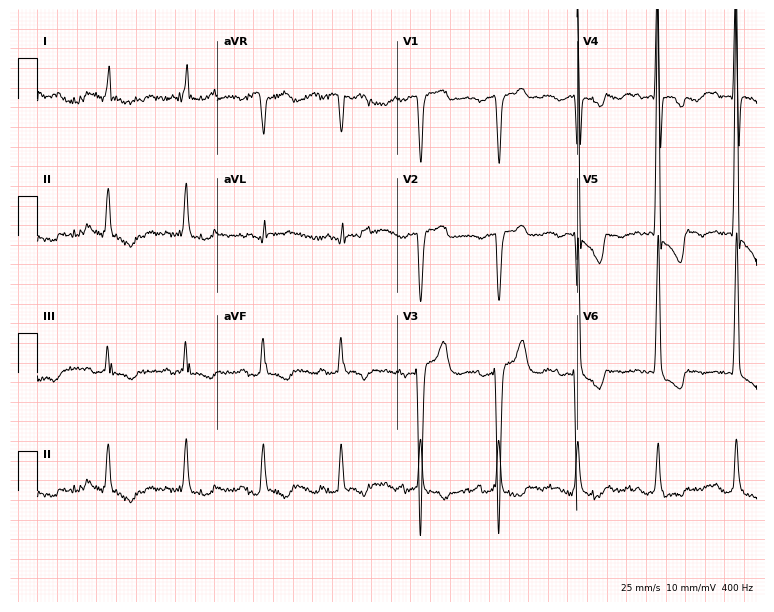
Electrocardiogram, a 74-year-old male patient. Of the six screened findings (first-degree AV block, right bundle branch block, left bundle branch block, sinus bradycardia, atrial fibrillation, sinus tachycardia), none is recorded. Only these six findings were labelled.